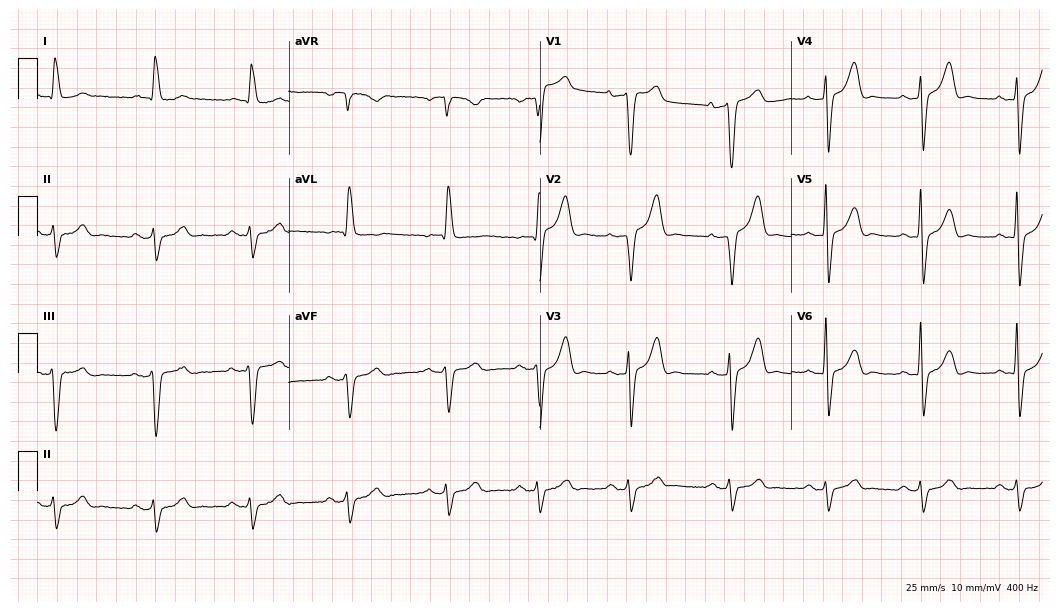
Resting 12-lead electrocardiogram (10.2-second recording at 400 Hz). Patient: a 65-year-old male. The tracing shows left bundle branch block.